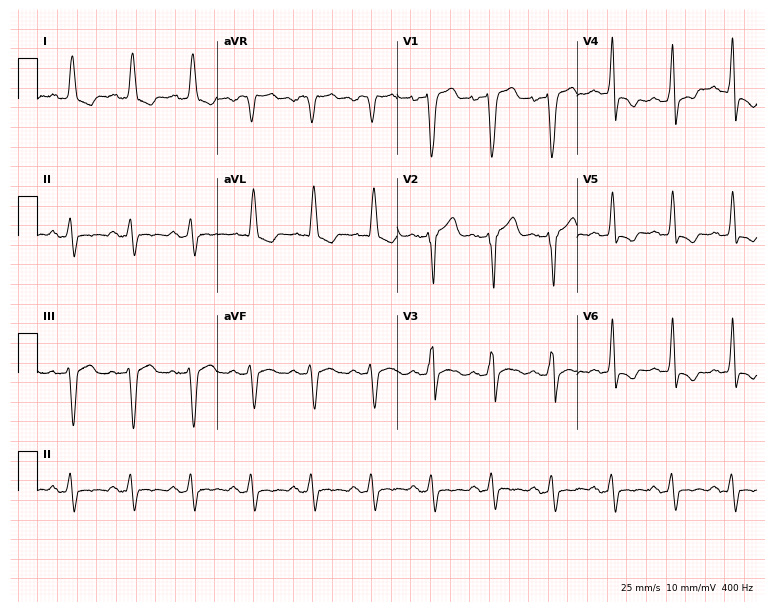
Electrocardiogram (7.3-second recording at 400 Hz), a man, 74 years old. Interpretation includes left bundle branch block.